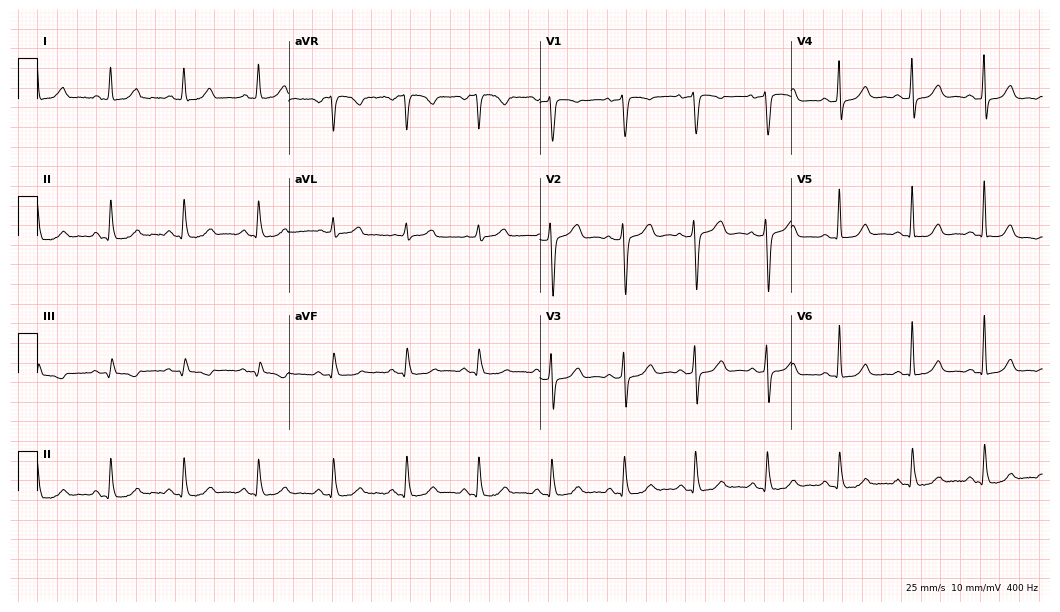
Resting 12-lead electrocardiogram. Patient: a 58-year-old female. None of these six findings is recorded: first-degree AV block, right bundle branch block, left bundle branch block, sinus bradycardia, atrial fibrillation, sinus tachycardia. Other findings, if any, are not listed.